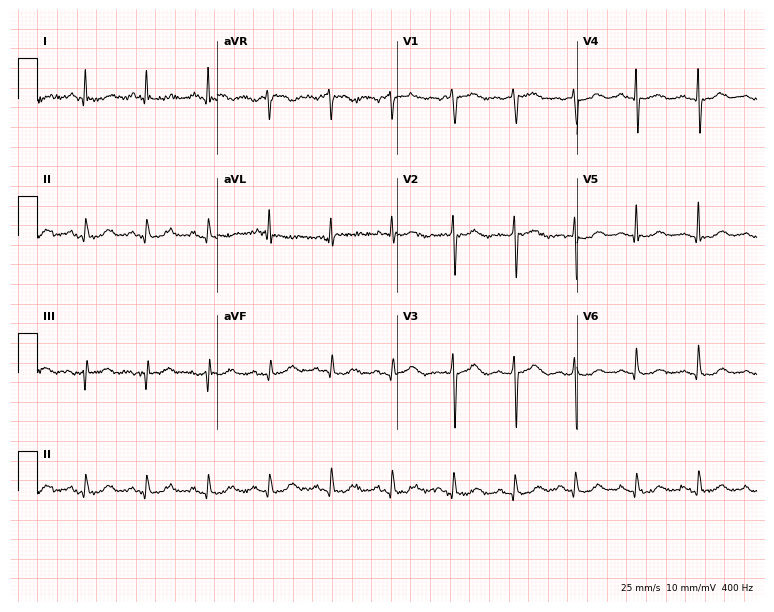
Electrocardiogram, a 74-year-old female. Overall reading on record: normal ECG.